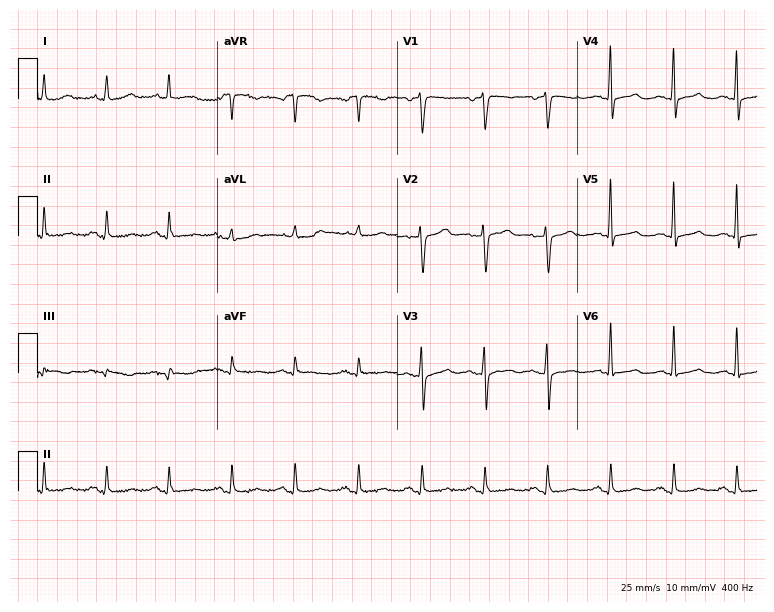
Standard 12-lead ECG recorded from a woman, 72 years old (7.3-second recording at 400 Hz). None of these six findings is recorded: first-degree AV block, right bundle branch block, left bundle branch block, sinus bradycardia, atrial fibrillation, sinus tachycardia. Only these six findings were labelled.